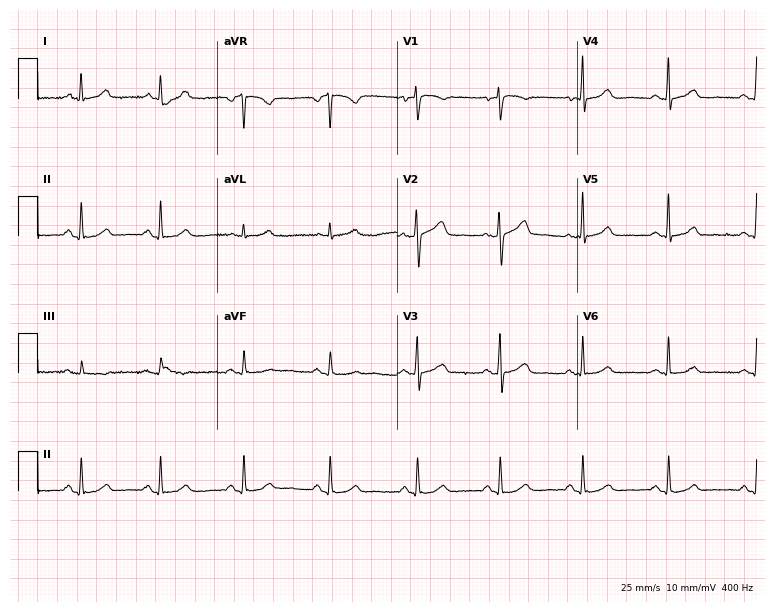
Resting 12-lead electrocardiogram (7.3-second recording at 400 Hz). Patient: a 33-year-old female. Read as a normal ECG.